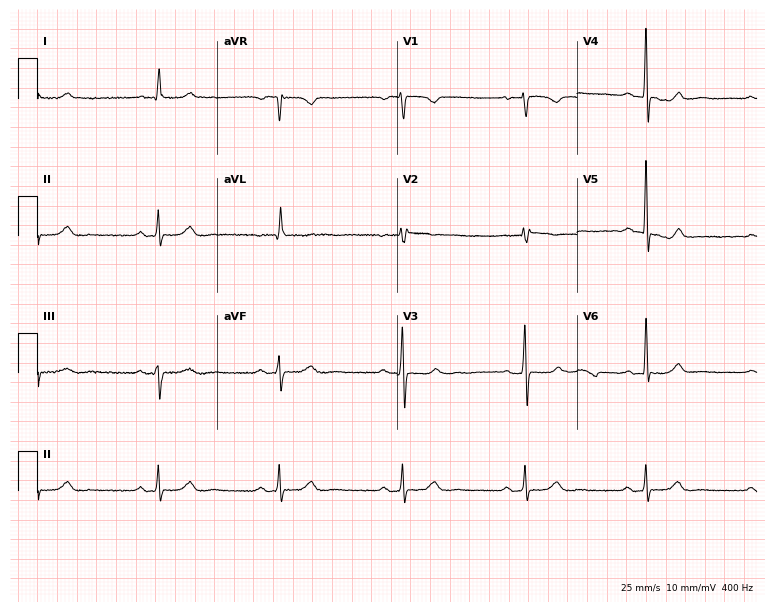
12-lead ECG (7.3-second recording at 400 Hz) from a 63-year-old female. Labelled as a normal ECG.